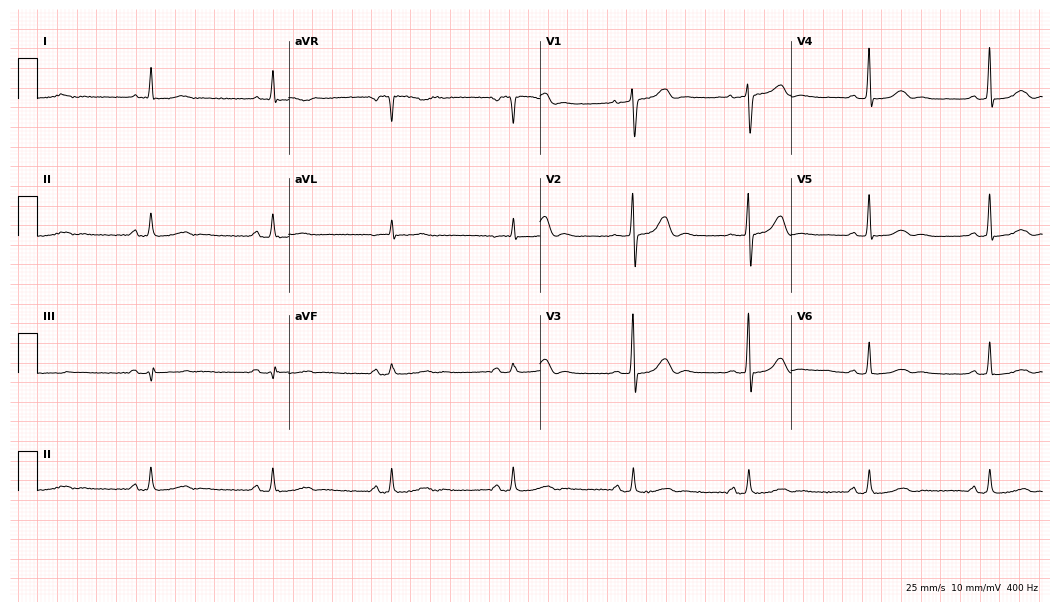
Electrocardiogram (10.2-second recording at 400 Hz), a 73-year-old woman. Overall reading on record: normal ECG.